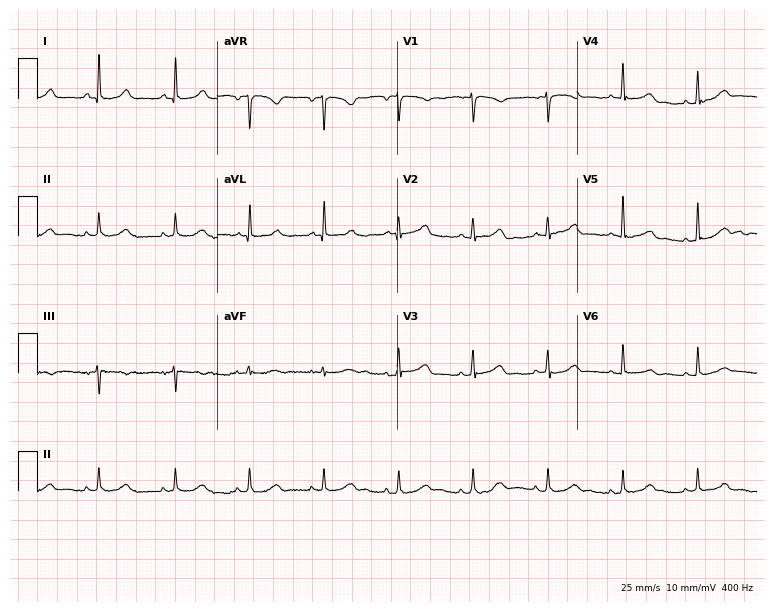
Standard 12-lead ECG recorded from a female, 45 years old (7.3-second recording at 400 Hz). Read as a normal ECG.